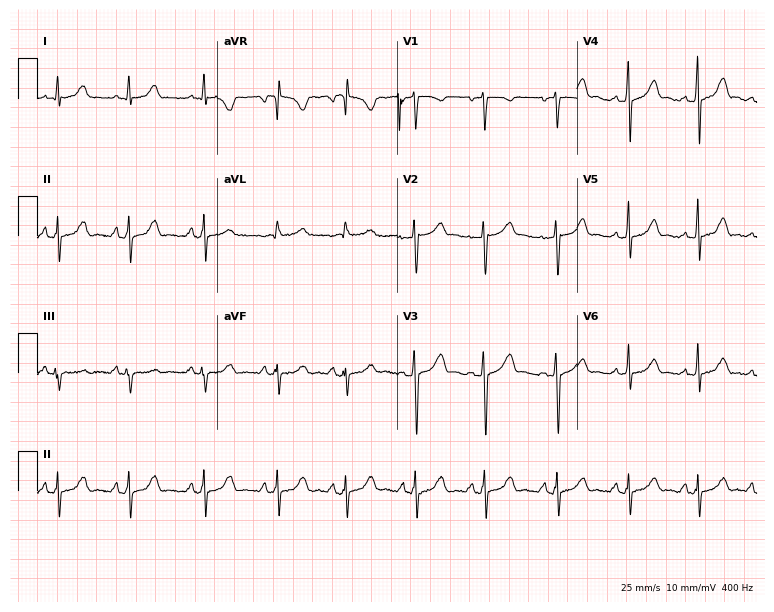
ECG (7.3-second recording at 400 Hz) — a woman, 41 years old. Screened for six findings — first-degree AV block, right bundle branch block, left bundle branch block, sinus bradycardia, atrial fibrillation, sinus tachycardia — none is recorded.